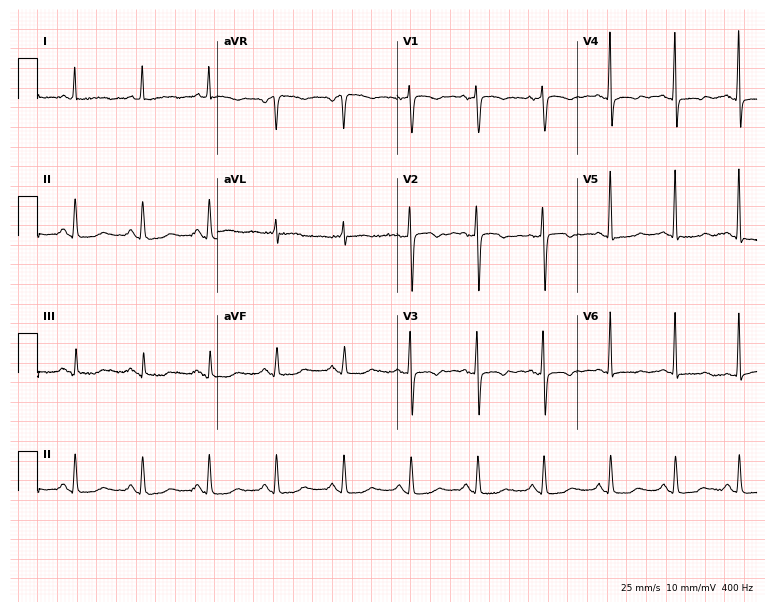
12-lead ECG from a female patient, 62 years old (7.3-second recording at 400 Hz). No first-degree AV block, right bundle branch block, left bundle branch block, sinus bradycardia, atrial fibrillation or sinus tachycardia recorded for this tracing. Other findings, if any, are not listed.